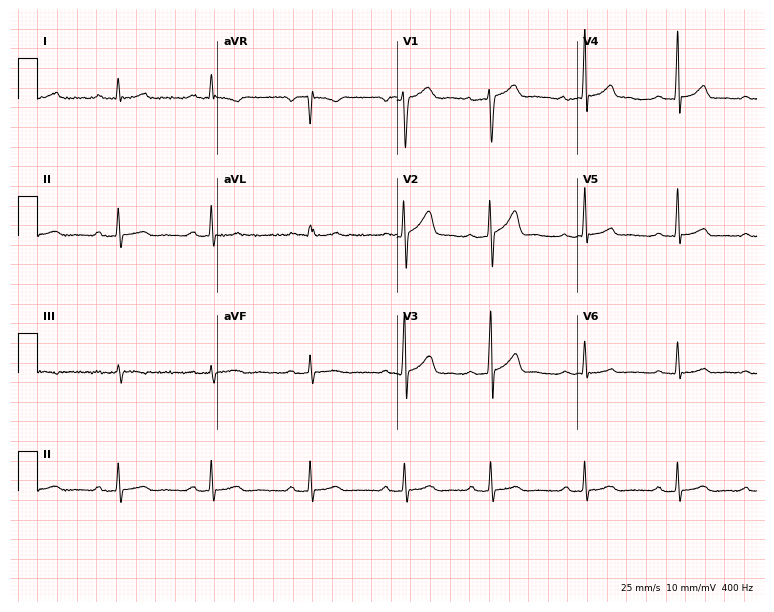
12-lead ECG from a man, 25 years old (7.3-second recording at 400 Hz). No first-degree AV block, right bundle branch block, left bundle branch block, sinus bradycardia, atrial fibrillation or sinus tachycardia recorded for this tracing.